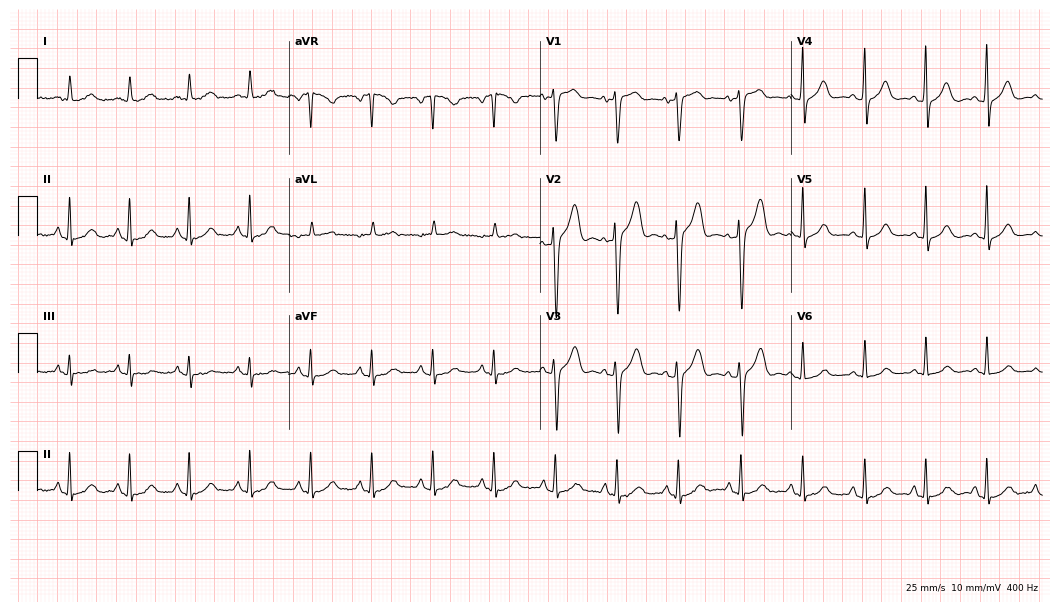
ECG — a female patient, 67 years old. Screened for six findings — first-degree AV block, right bundle branch block, left bundle branch block, sinus bradycardia, atrial fibrillation, sinus tachycardia — none is recorded.